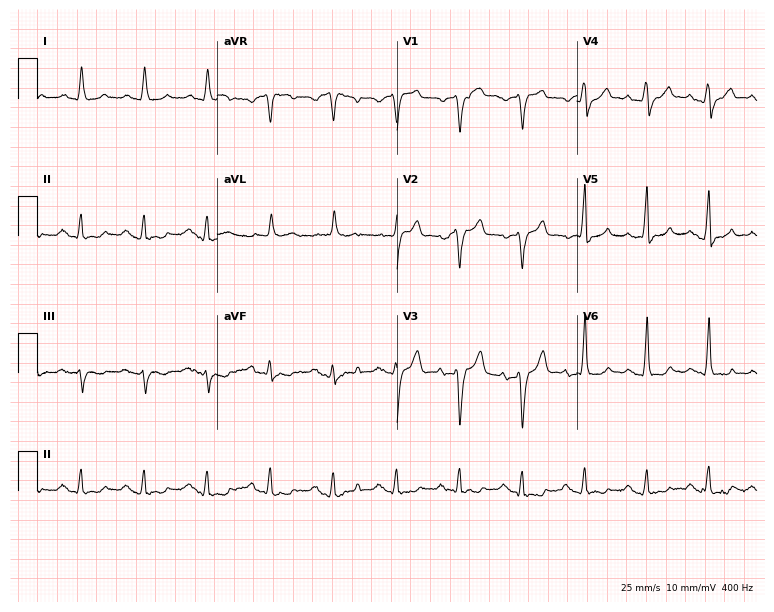
Resting 12-lead electrocardiogram (7.3-second recording at 400 Hz). Patient: a male, 80 years old. None of these six findings is recorded: first-degree AV block, right bundle branch block (RBBB), left bundle branch block (LBBB), sinus bradycardia, atrial fibrillation (AF), sinus tachycardia.